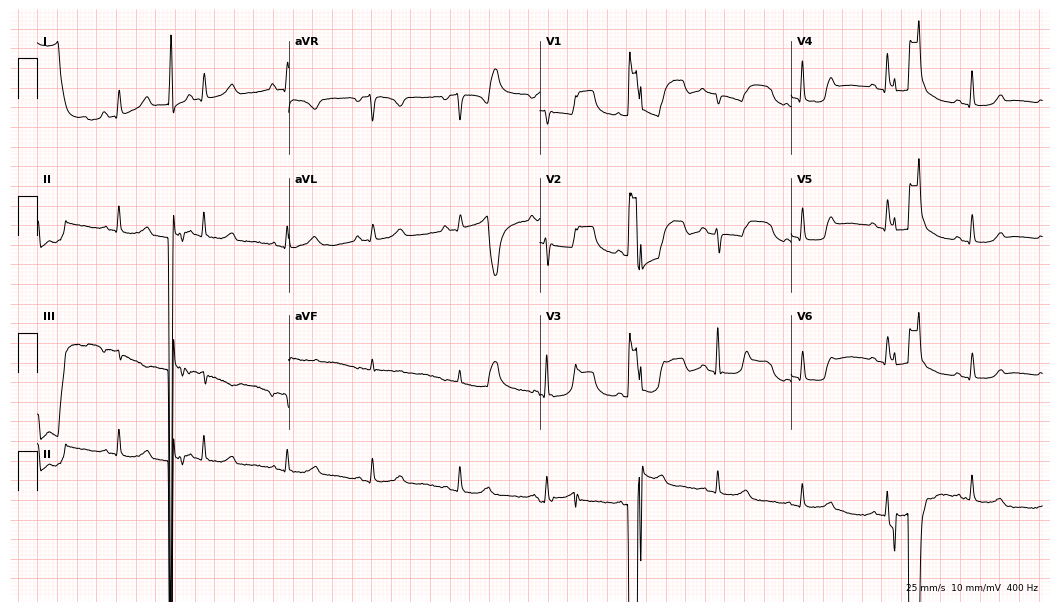
Electrocardiogram (10.2-second recording at 400 Hz), a female patient, 77 years old. Of the six screened findings (first-degree AV block, right bundle branch block, left bundle branch block, sinus bradycardia, atrial fibrillation, sinus tachycardia), none is recorded. Other findings, if any, are not listed.